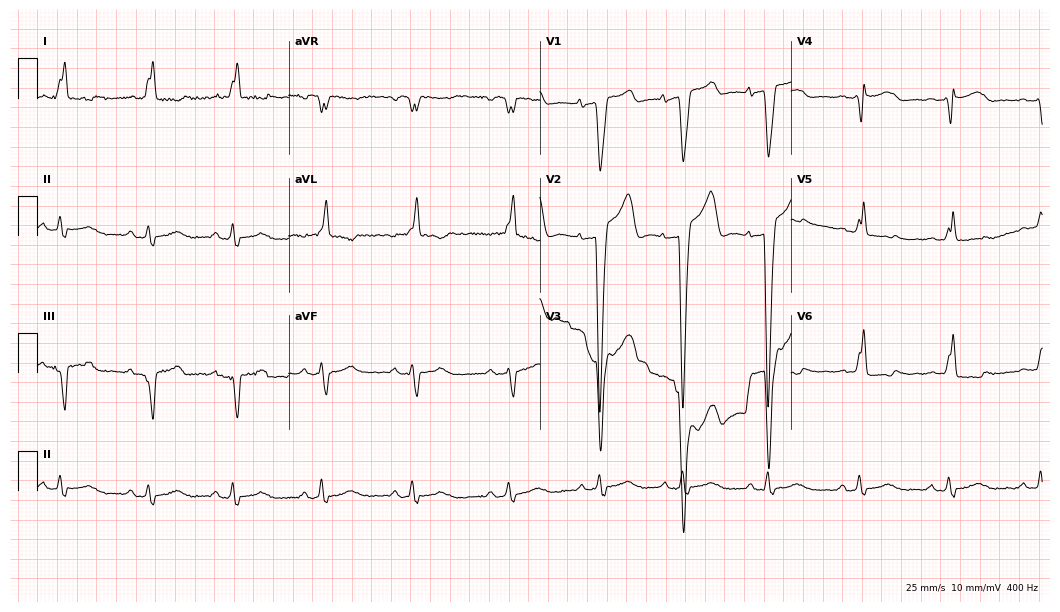
Standard 12-lead ECG recorded from a woman, 68 years old. The tracing shows left bundle branch block.